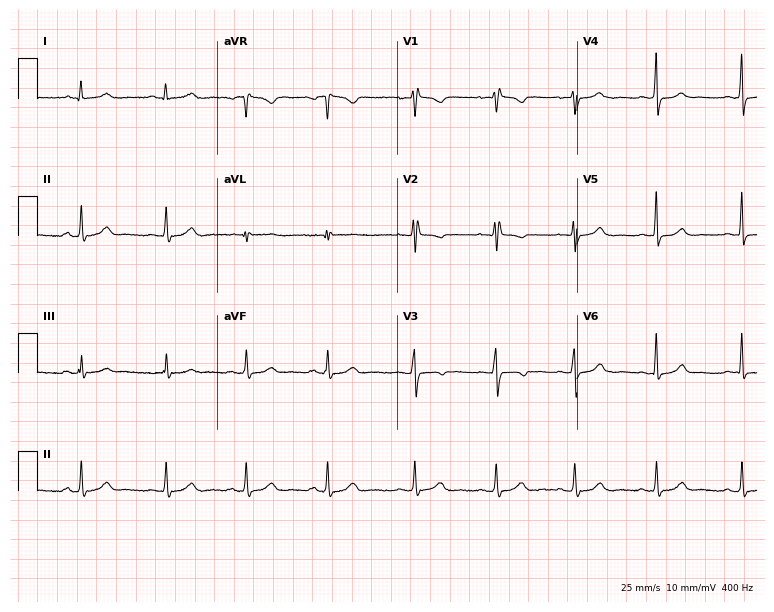
12-lead ECG (7.3-second recording at 400 Hz) from a woman, 26 years old. Screened for six findings — first-degree AV block, right bundle branch block, left bundle branch block, sinus bradycardia, atrial fibrillation, sinus tachycardia — none is recorded. Other findings, if any, are not listed.